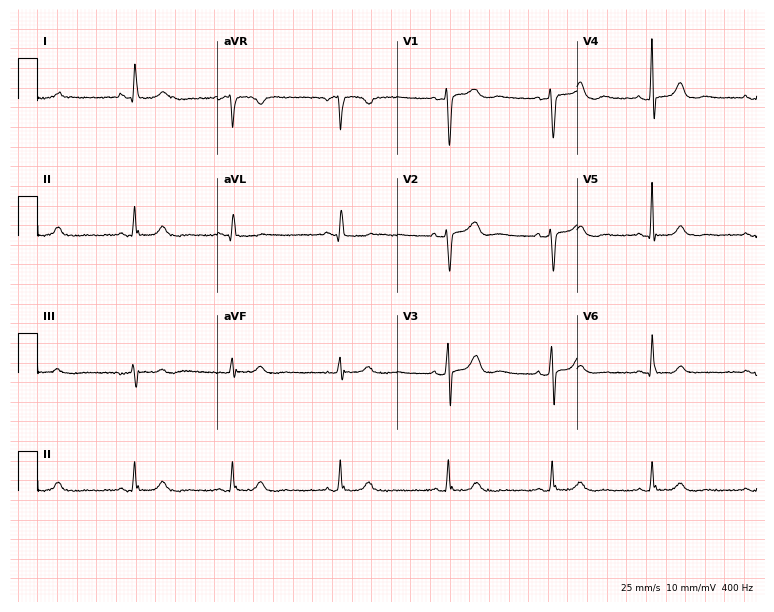
12-lead ECG from a woman, 62 years old. Screened for six findings — first-degree AV block, right bundle branch block (RBBB), left bundle branch block (LBBB), sinus bradycardia, atrial fibrillation (AF), sinus tachycardia — none is recorded. Other findings, if any, are not listed.